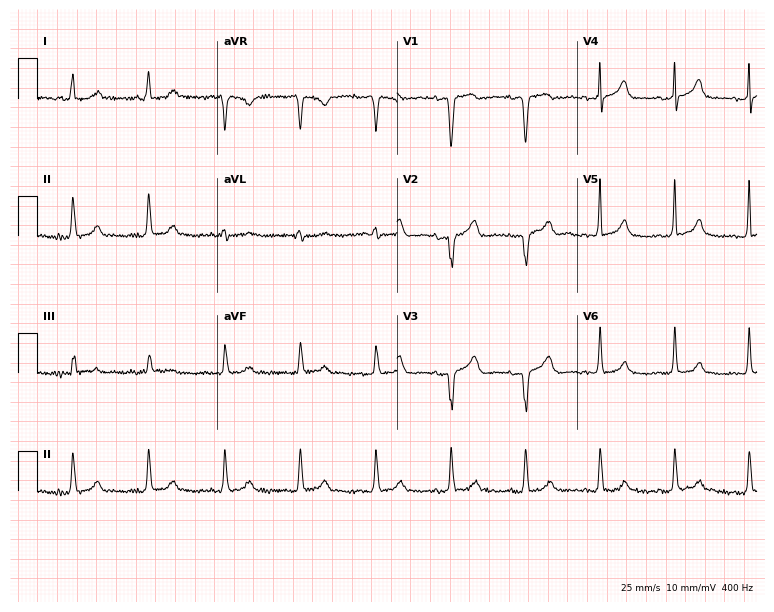
12-lead ECG (7.3-second recording at 400 Hz) from a woman, 74 years old. Screened for six findings — first-degree AV block, right bundle branch block, left bundle branch block, sinus bradycardia, atrial fibrillation, sinus tachycardia — none is recorded. Only these six findings were labelled.